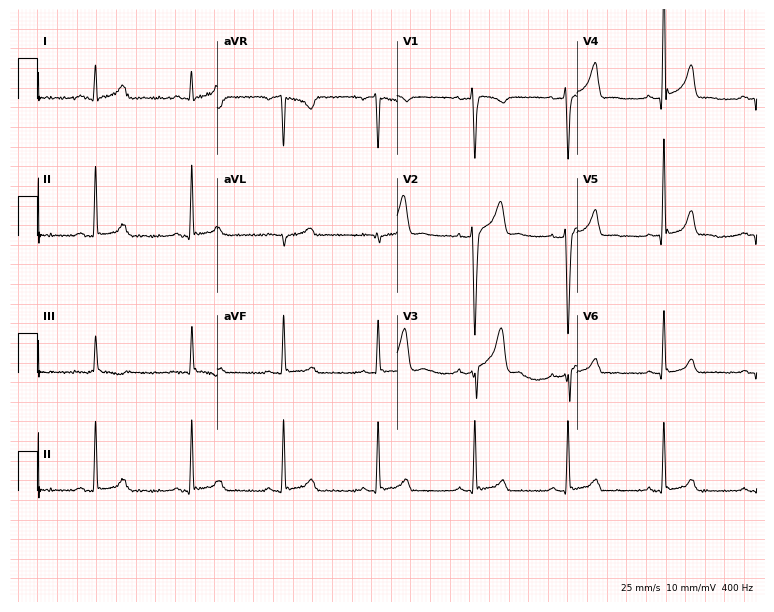
Standard 12-lead ECG recorded from a 33-year-old male (7.3-second recording at 400 Hz). None of these six findings is recorded: first-degree AV block, right bundle branch block, left bundle branch block, sinus bradycardia, atrial fibrillation, sinus tachycardia. Only these six findings were labelled.